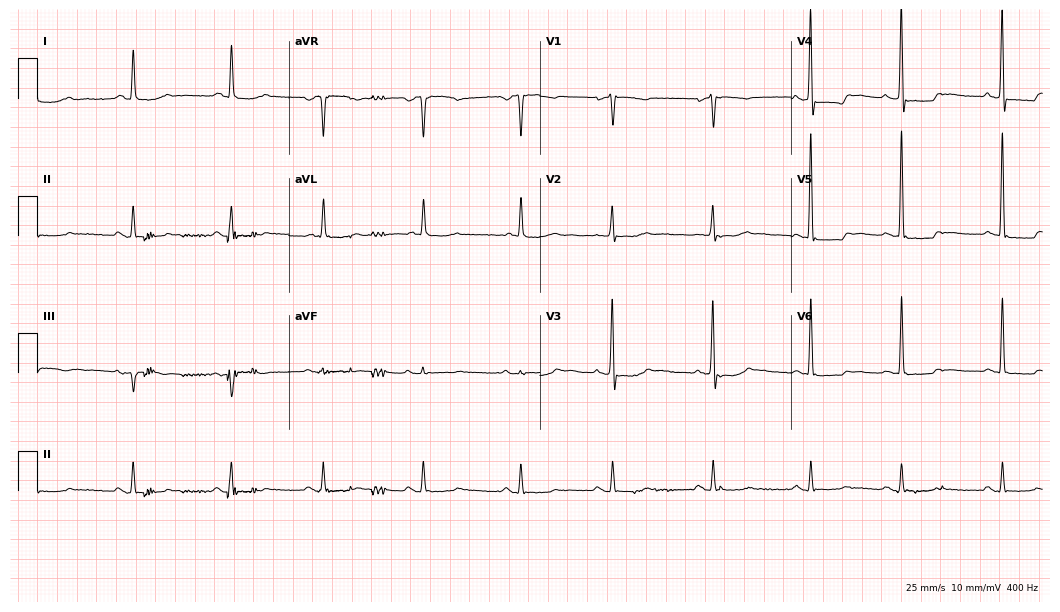
Standard 12-lead ECG recorded from a 74-year-old female patient (10.2-second recording at 400 Hz). None of these six findings is recorded: first-degree AV block, right bundle branch block (RBBB), left bundle branch block (LBBB), sinus bradycardia, atrial fibrillation (AF), sinus tachycardia. Other findings, if any, are not listed.